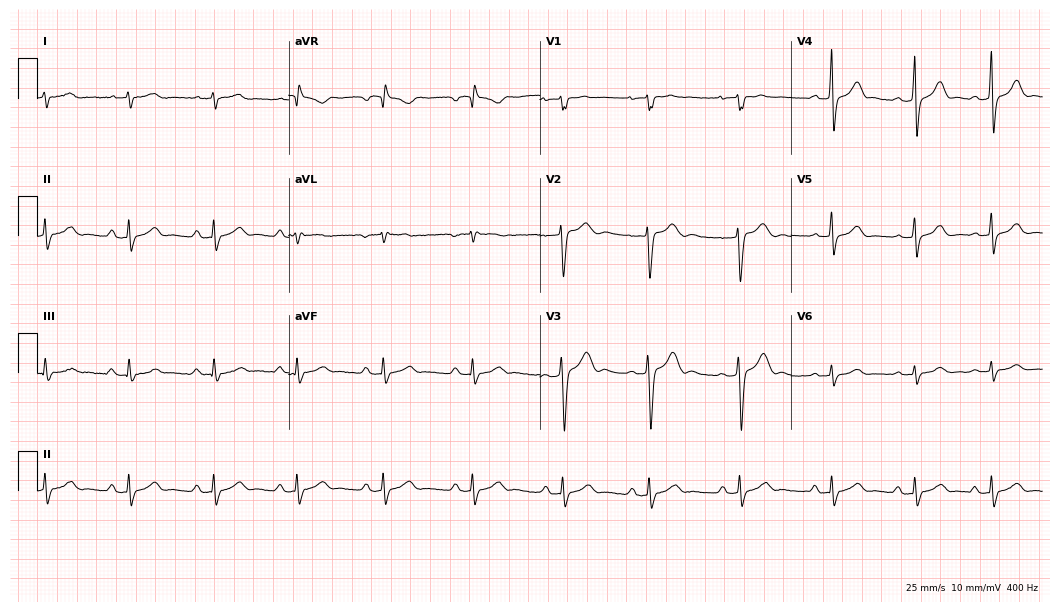
12-lead ECG from a 17-year-old male patient. Labelled as a normal ECG.